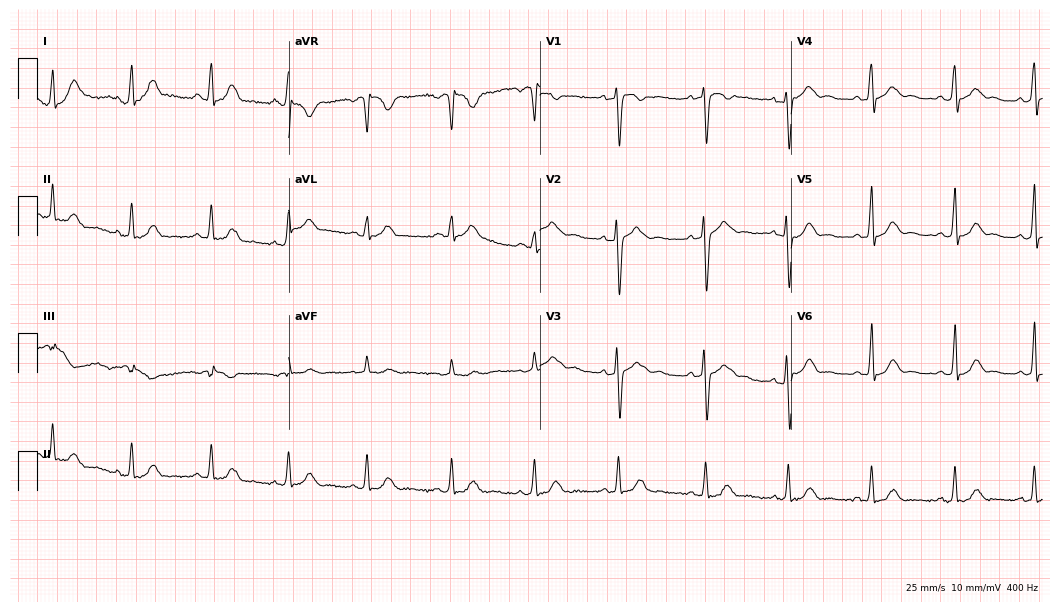
Resting 12-lead electrocardiogram (10.2-second recording at 400 Hz). Patient: a 32-year-old female. Read as a normal ECG.